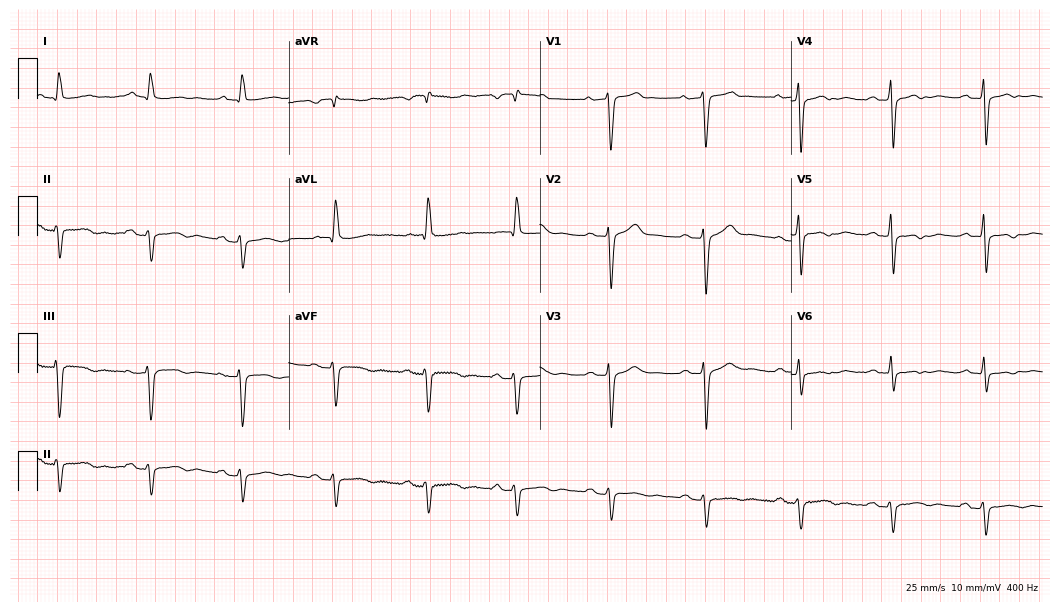
12-lead ECG from a 65-year-old male. Shows first-degree AV block.